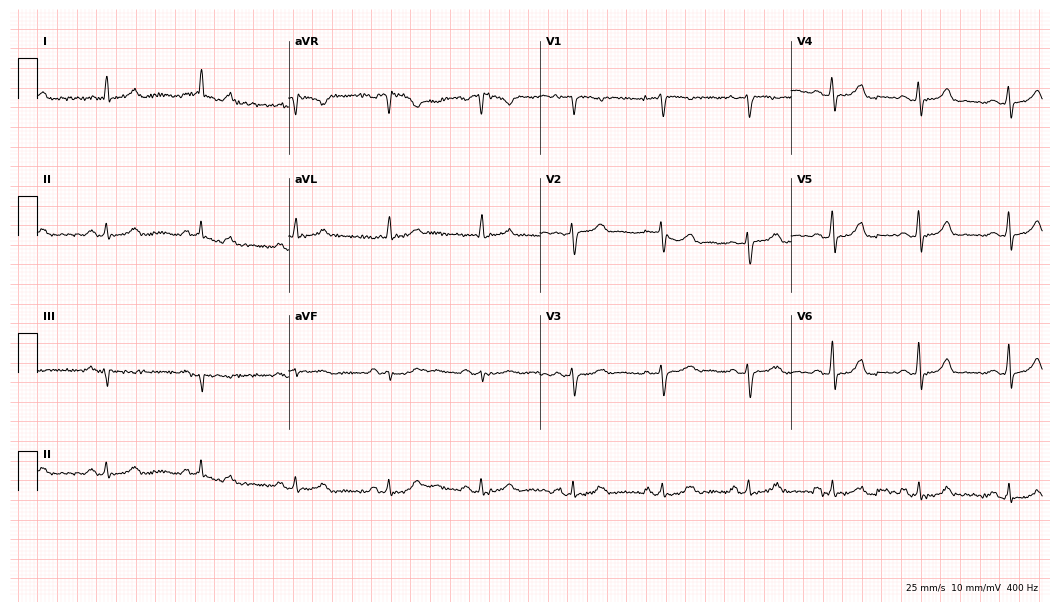
Standard 12-lead ECG recorded from a 44-year-old female patient (10.2-second recording at 400 Hz). Read as a normal ECG.